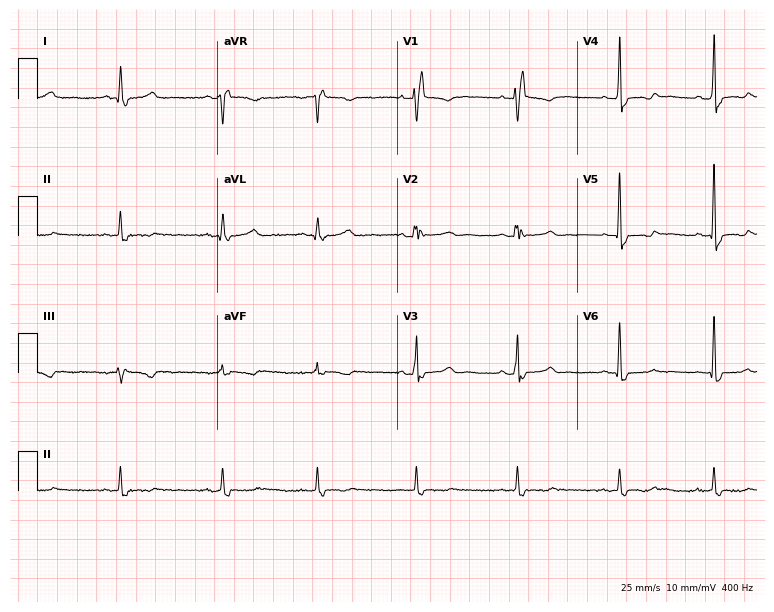
Standard 12-lead ECG recorded from a 60-year-old female patient. The tracing shows right bundle branch block (RBBB).